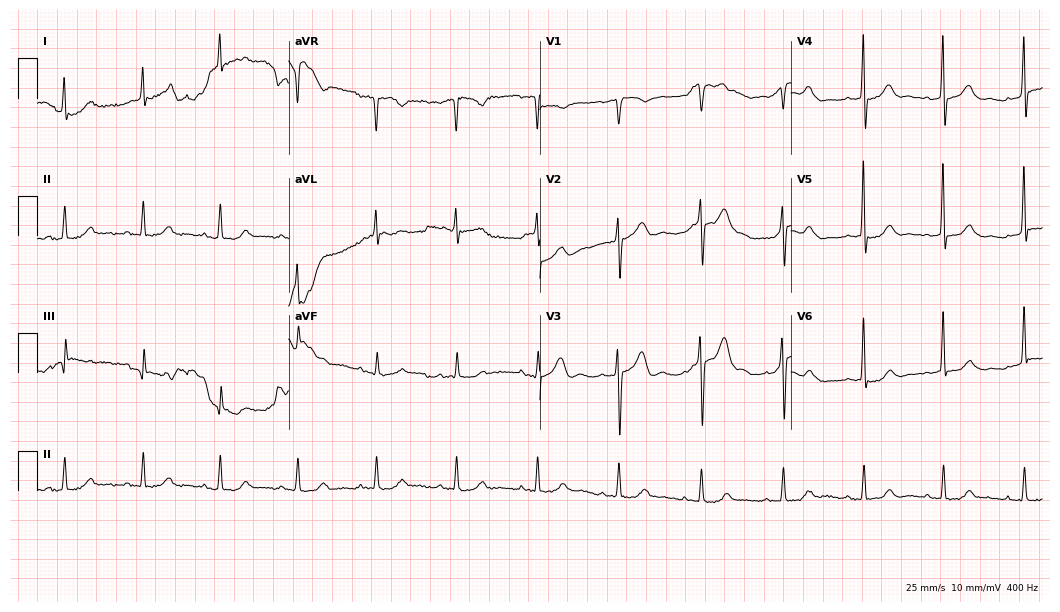
Electrocardiogram, a 75-year-old female patient. Overall reading on record: normal ECG.